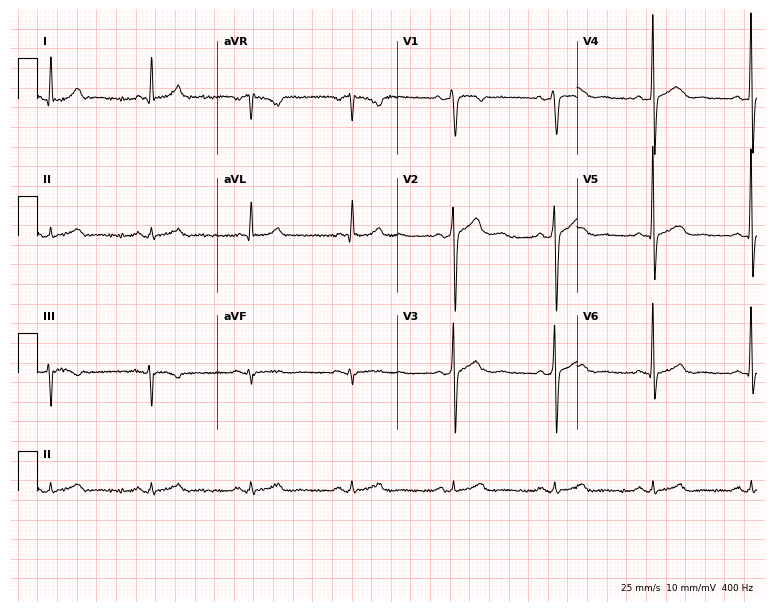
Electrocardiogram (7.3-second recording at 400 Hz), a 57-year-old male patient. Overall reading on record: normal ECG.